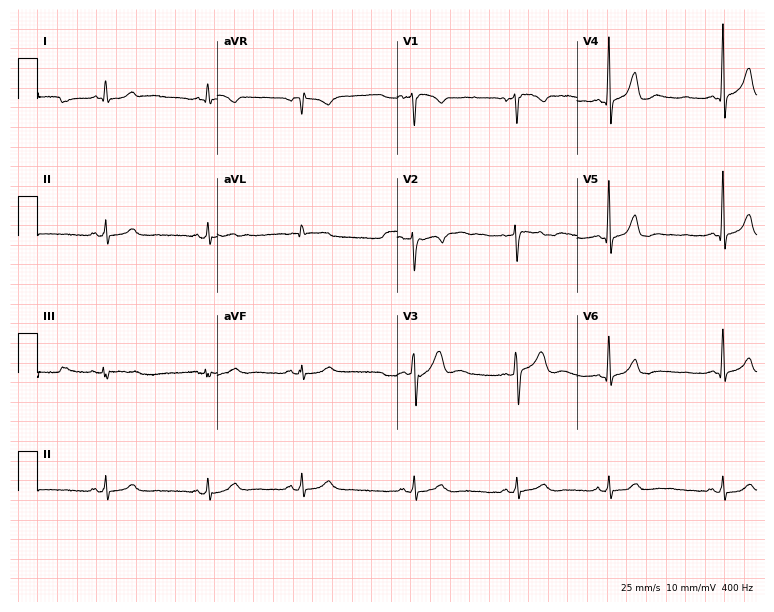
Resting 12-lead electrocardiogram (7.3-second recording at 400 Hz). Patient: a 21-year-old man. Read as a normal ECG.